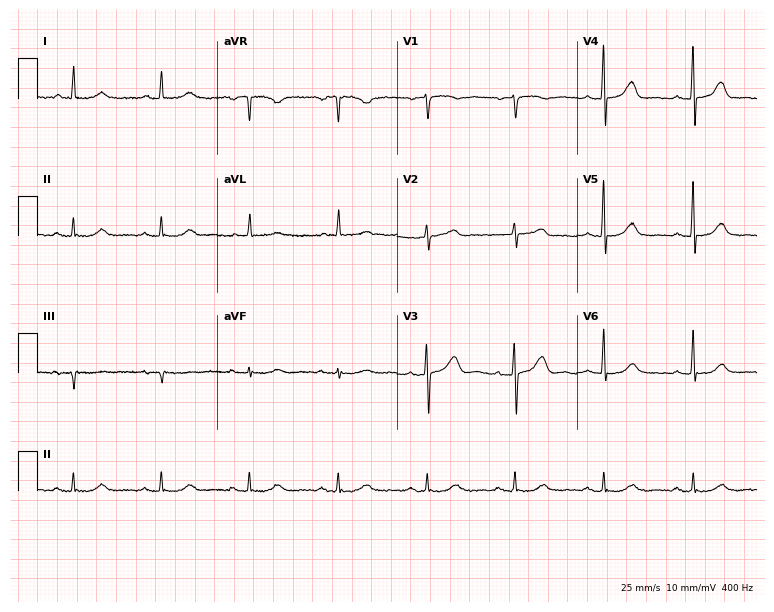
Resting 12-lead electrocardiogram (7.3-second recording at 400 Hz). Patient: a 64-year-old woman. None of these six findings is recorded: first-degree AV block, right bundle branch block, left bundle branch block, sinus bradycardia, atrial fibrillation, sinus tachycardia.